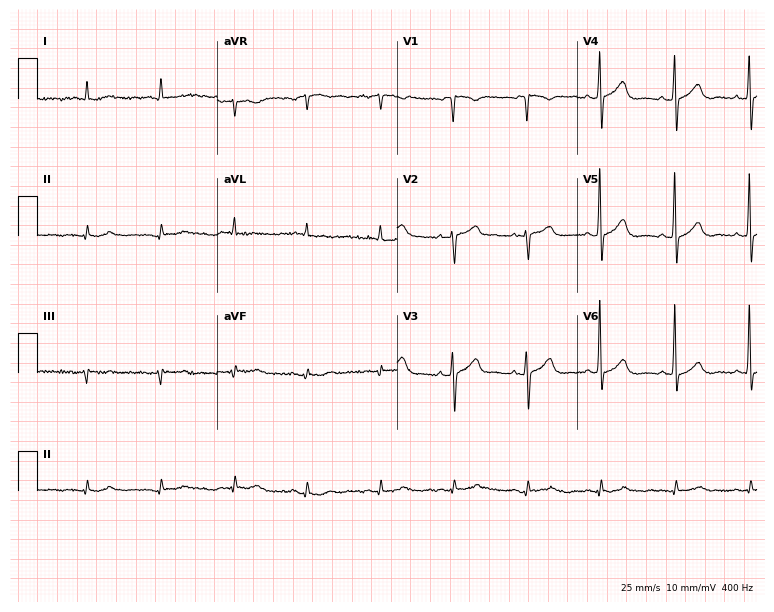
12-lead ECG from a woman, 82 years old. Screened for six findings — first-degree AV block, right bundle branch block, left bundle branch block, sinus bradycardia, atrial fibrillation, sinus tachycardia — none is recorded. Only these six findings were labelled.